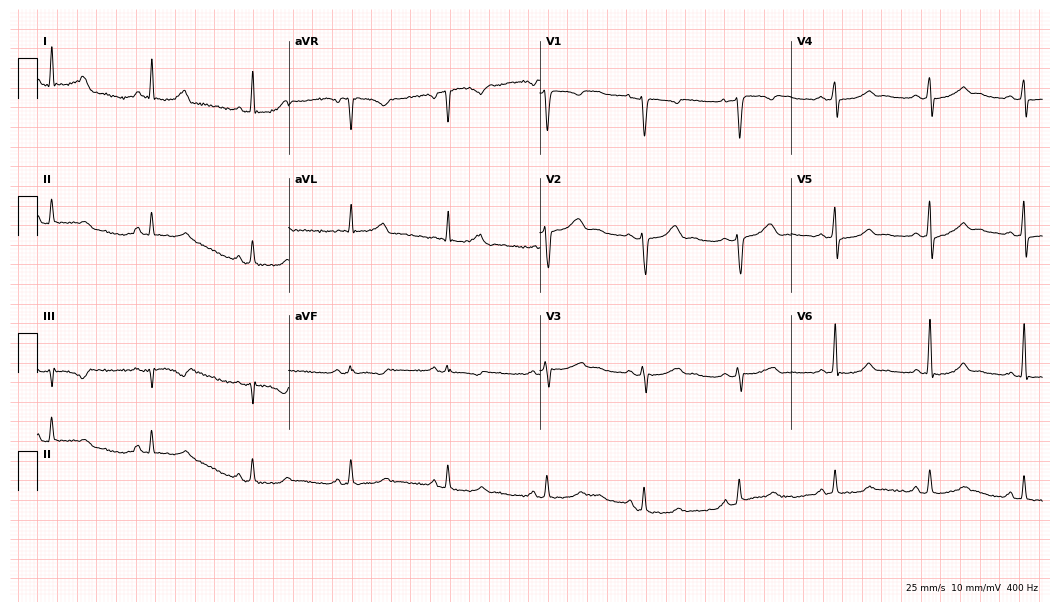
Standard 12-lead ECG recorded from a 42-year-old female. None of these six findings is recorded: first-degree AV block, right bundle branch block (RBBB), left bundle branch block (LBBB), sinus bradycardia, atrial fibrillation (AF), sinus tachycardia. Findings outside these six are not listed.